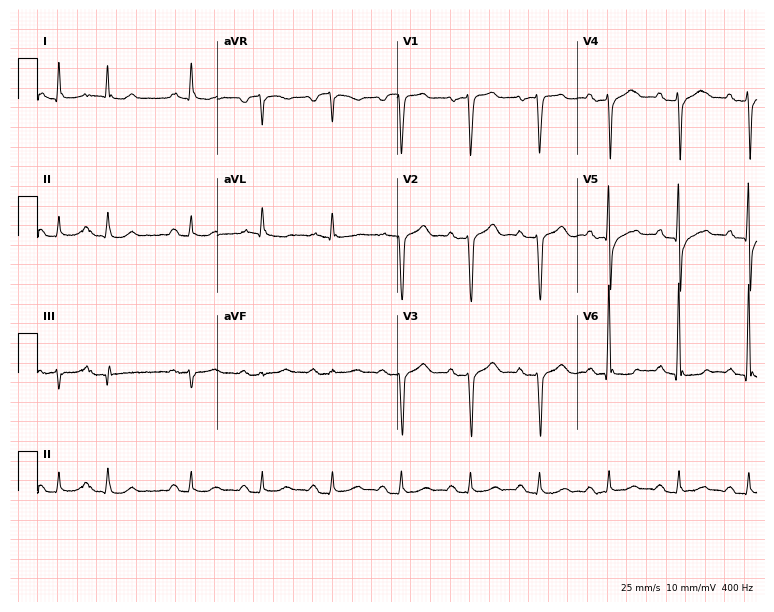
Resting 12-lead electrocardiogram (7.3-second recording at 400 Hz). Patient: a 65-year-old male. None of these six findings is recorded: first-degree AV block, right bundle branch block (RBBB), left bundle branch block (LBBB), sinus bradycardia, atrial fibrillation (AF), sinus tachycardia. Only these six findings were labelled.